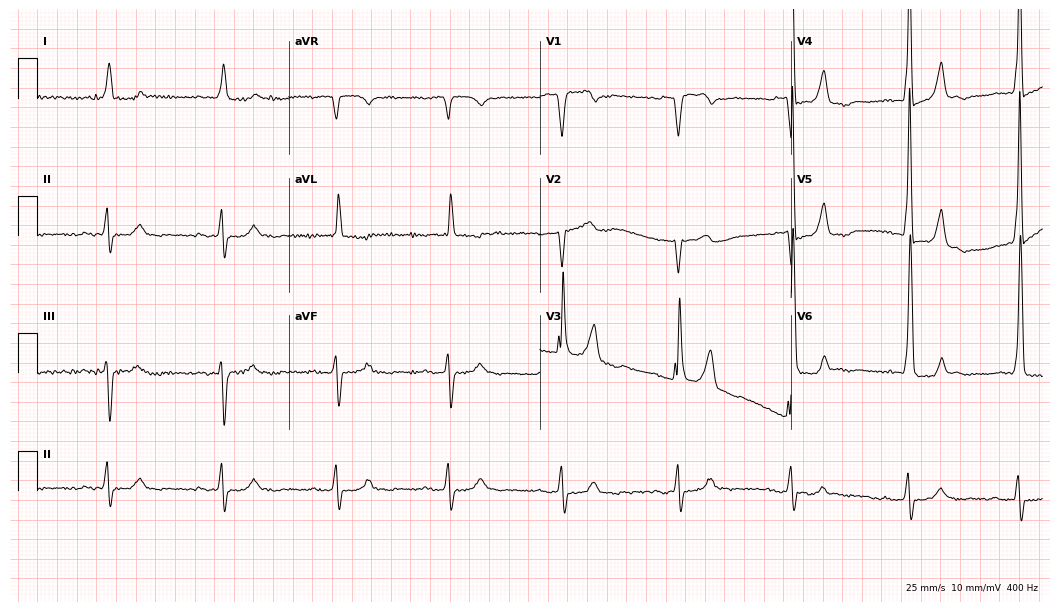
Electrocardiogram (10.2-second recording at 400 Hz), a man, 80 years old. Interpretation includes first-degree AV block, left bundle branch block.